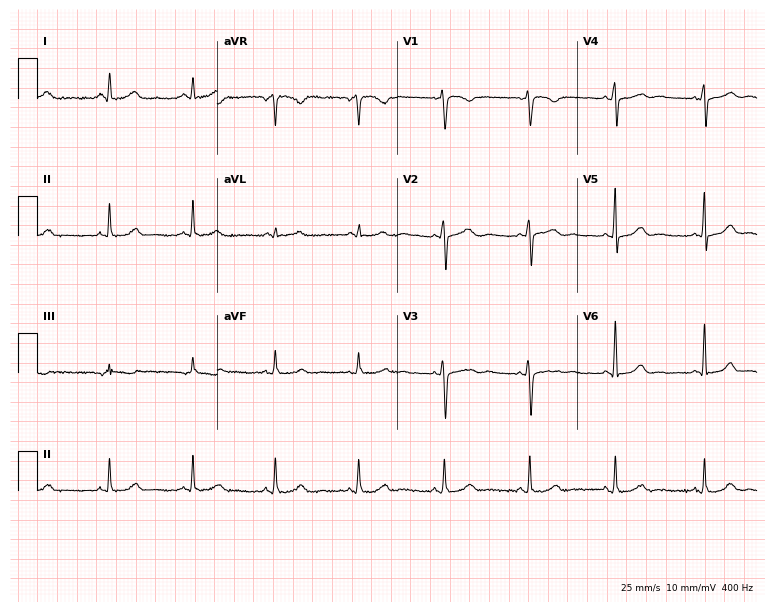
12-lead ECG from a 33-year-old female patient (7.3-second recording at 400 Hz). Recorded interpretation: within normal limits.